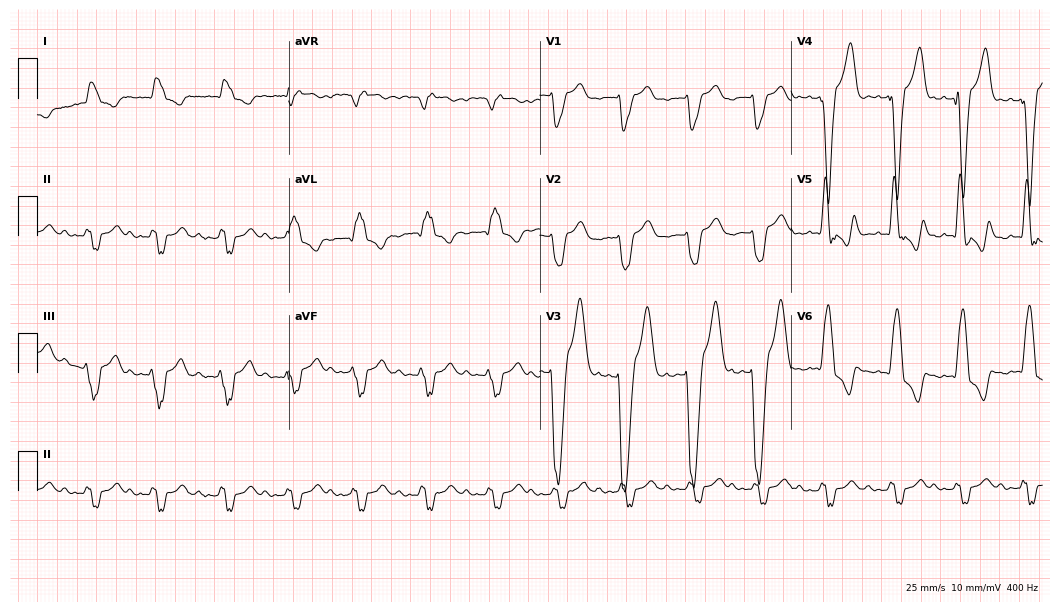
12-lead ECG from a 75-year-old man. Findings include first-degree AV block, left bundle branch block (LBBB).